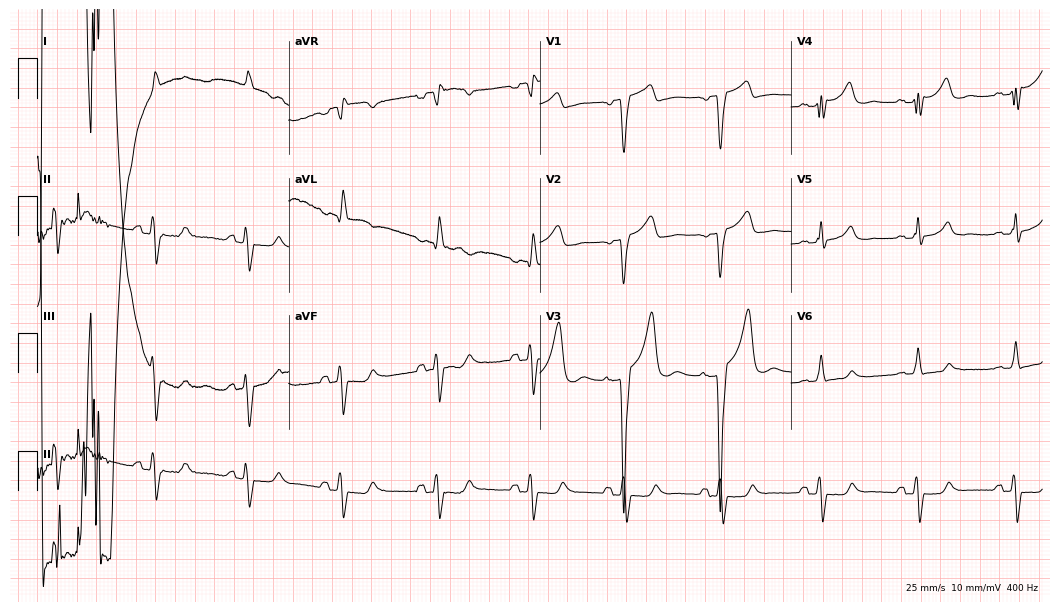
12-lead ECG from a 77-year-old male. Screened for six findings — first-degree AV block, right bundle branch block, left bundle branch block, sinus bradycardia, atrial fibrillation, sinus tachycardia — none is recorded. Only these six findings were labelled.